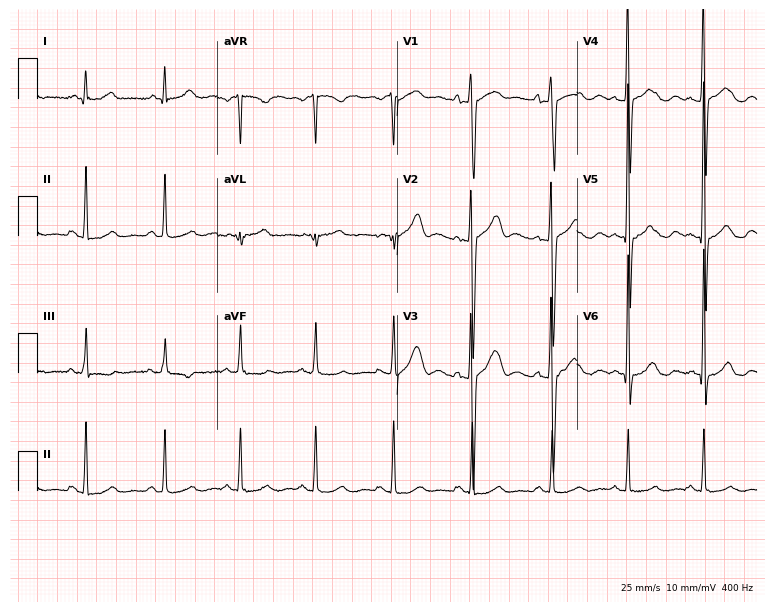
Electrocardiogram (7.3-second recording at 400 Hz), a 35-year-old man. Overall reading on record: normal ECG.